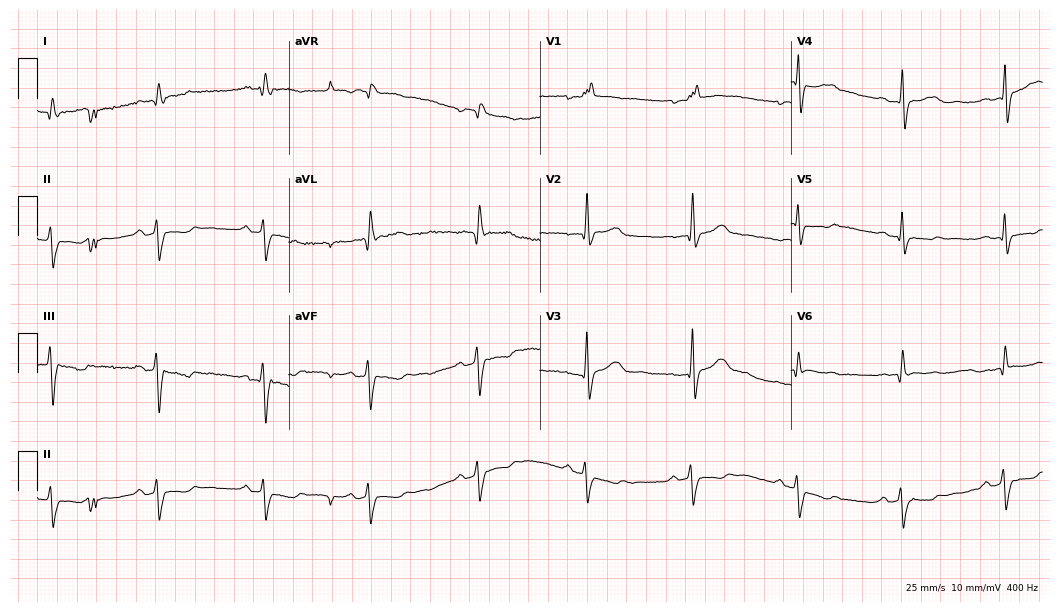
ECG (10.2-second recording at 400 Hz) — a 47-year-old man. Findings include right bundle branch block.